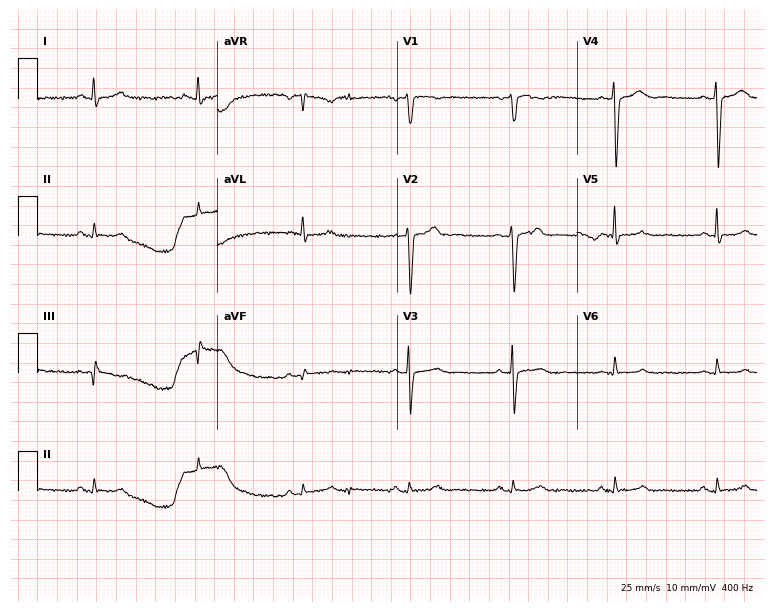
Electrocardiogram (7.3-second recording at 400 Hz), a 59-year-old man. Of the six screened findings (first-degree AV block, right bundle branch block, left bundle branch block, sinus bradycardia, atrial fibrillation, sinus tachycardia), none is recorded. Only these six findings were labelled.